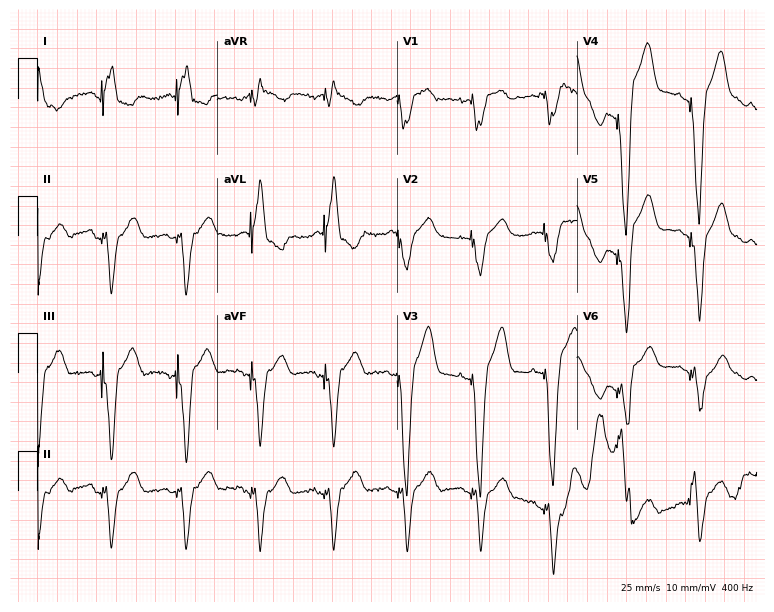
12-lead ECG (7.3-second recording at 400 Hz) from a man, 76 years old. Screened for six findings — first-degree AV block, right bundle branch block, left bundle branch block, sinus bradycardia, atrial fibrillation, sinus tachycardia — none is recorded.